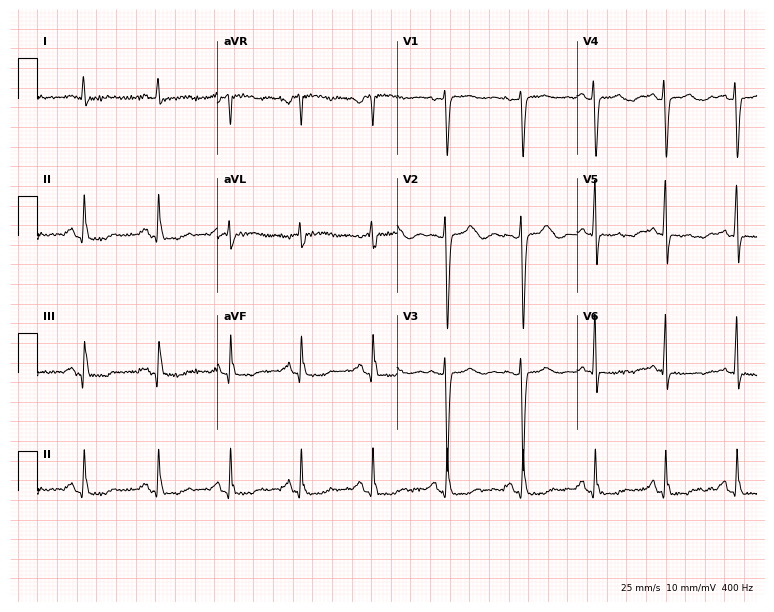
Electrocardiogram (7.3-second recording at 400 Hz), a 49-year-old female. Of the six screened findings (first-degree AV block, right bundle branch block, left bundle branch block, sinus bradycardia, atrial fibrillation, sinus tachycardia), none is recorded.